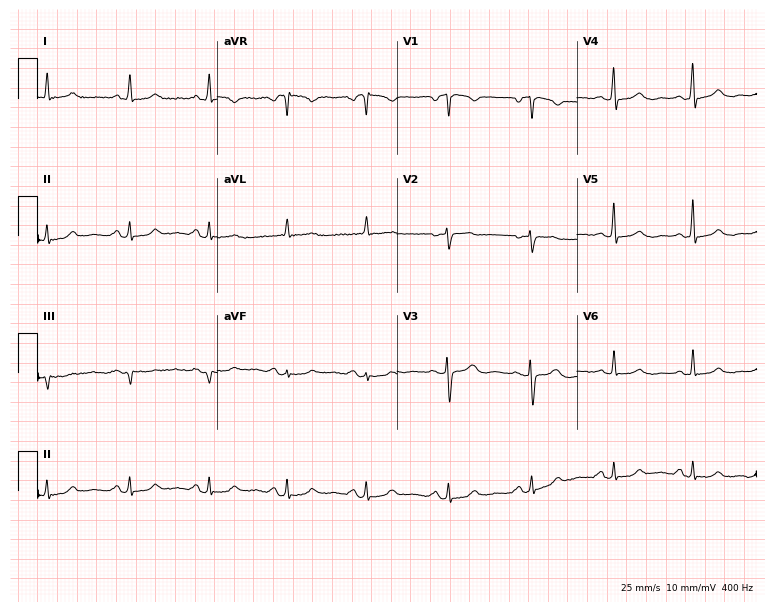
Resting 12-lead electrocardiogram (7.3-second recording at 400 Hz). Patient: a 52-year-old woman. None of these six findings is recorded: first-degree AV block, right bundle branch block, left bundle branch block, sinus bradycardia, atrial fibrillation, sinus tachycardia. Only these six findings were labelled.